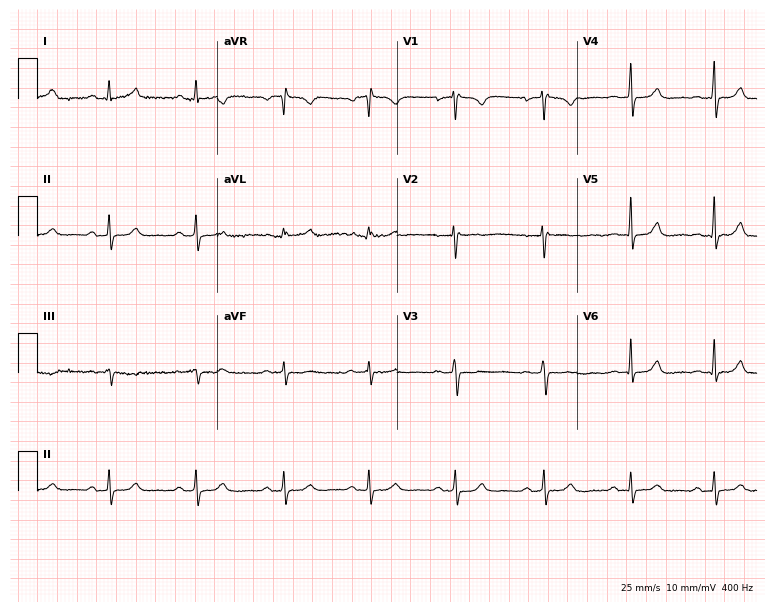
12-lead ECG from a 29-year-old female patient (7.3-second recording at 400 Hz). Recorded interpretation: within normal limits.